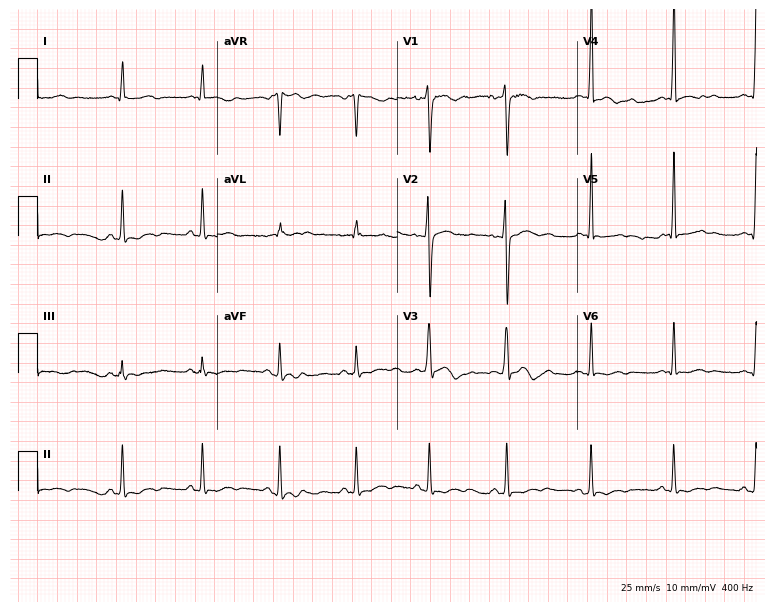
Standard 12-lead ECG recorded from a 21-year-old male patient. None of these six findings is recorded: first-degree AV block, right bundle branch block, left bundle branch block, sinus bradycardia, atrial fibrillation, sinus tachycardia. Findings outside these six are not listed.